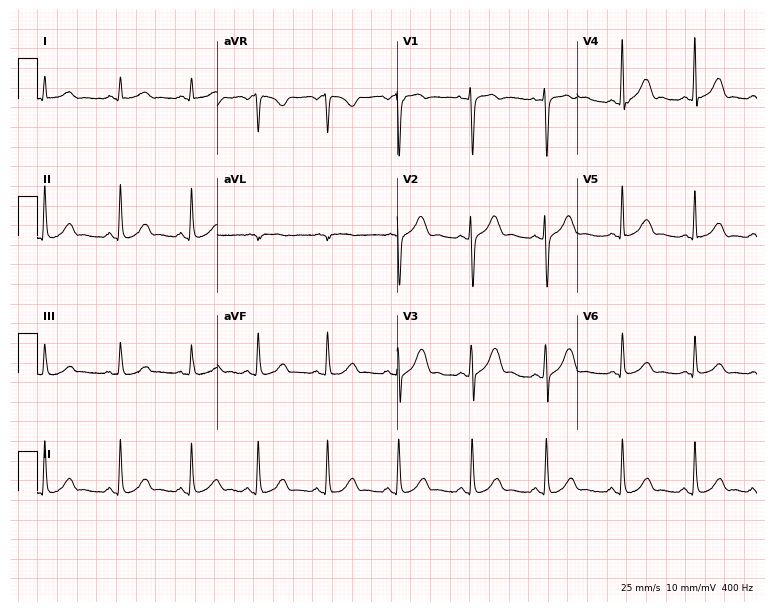
ECG (7.3-second recording at 400 Hz) — a 29-year-old female patient. Labelled as a normal ECG.